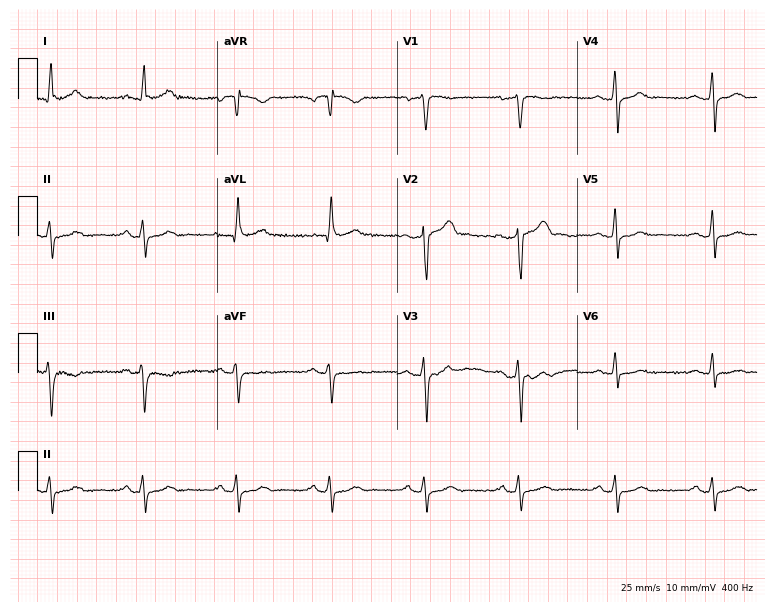
Resting 12-lead electrocardiogram. Patient: a 54-year-old male. None of these six findings is recorded: first-degree AV block, right bundle branch block, left bundle branch block, sinus bradycardia, atrial fibrillation, sinus tachycardia. Only these six findings were labelled.